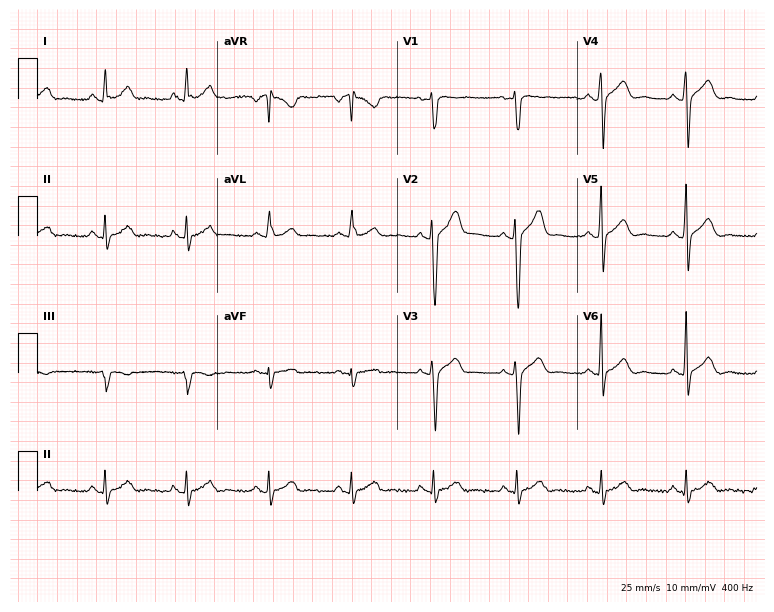
Resting 12-lead electrocardiogram. Patient: a male, 42 years old. None of these six findings is recorded: first-degree AV block, right bundle branch block (RBBB), left bundle branch block (LBBB), sinus bradycardia, atrial fibrillation (AF), sinus tachycardia.